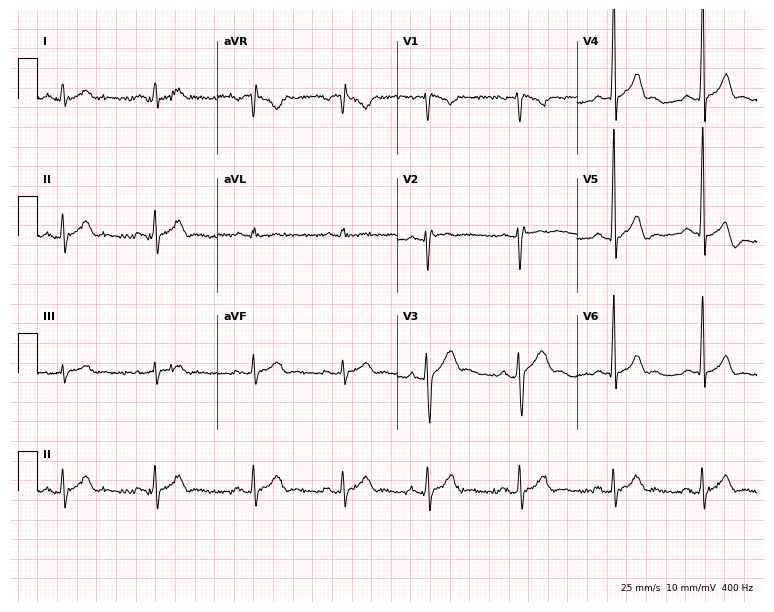
12-lead ECG from a 29-year-old male patient. Recorded interpretation: within normal limits.